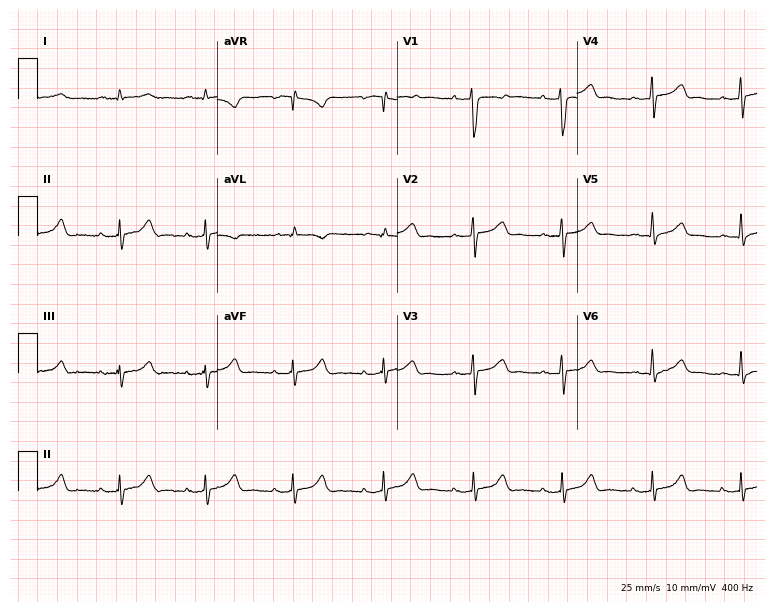
Standard 12-lead ECG recorded from a 37-year-old male (7.3-second recording at 400 Hz). Read as a normal ECG.